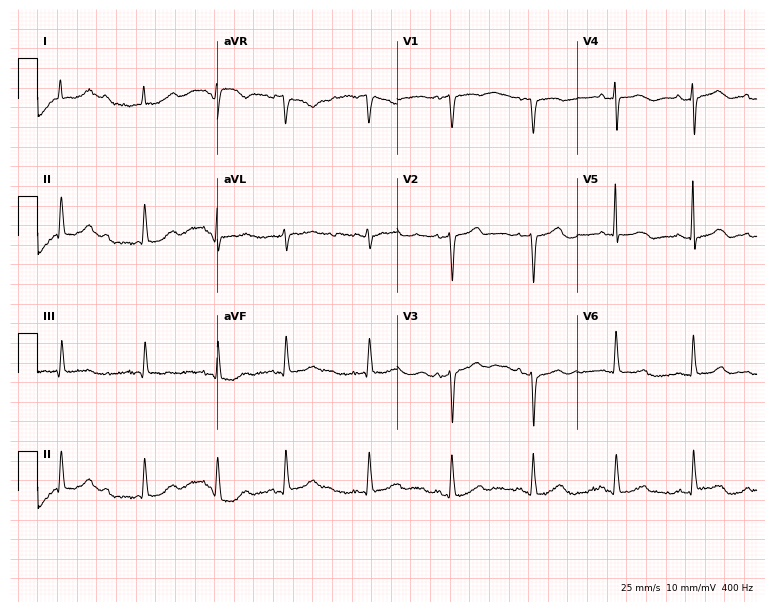
Electrocardiogram (7.3-second recording at 400 Hz), an 85-year-old woman. Of the six screened findings (first-degree AV block, right bundle branch block, left bundle branch block, sinus bradycardia, atrial fibrillation, sinus tachycardia), none is recorded.